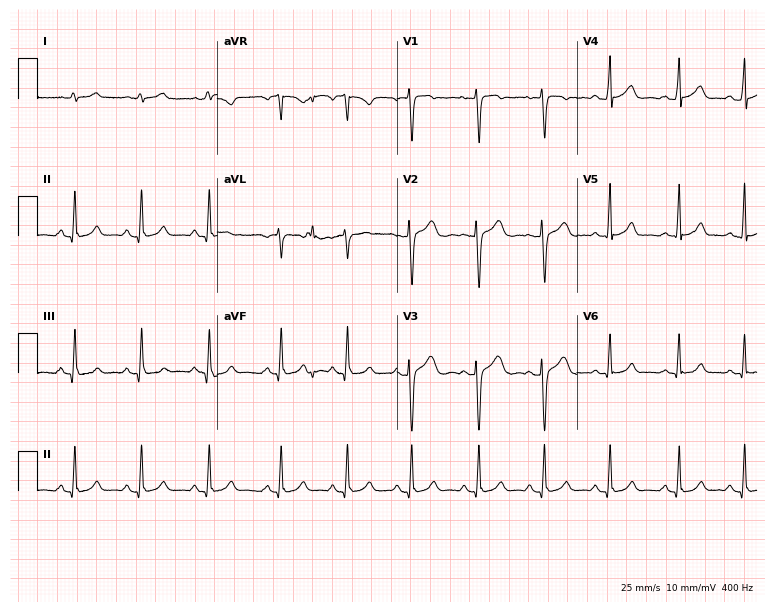
ECG (7.3-second recording at 400 Hz) — a woman, 19 years old. Labelled as a normal ECG.